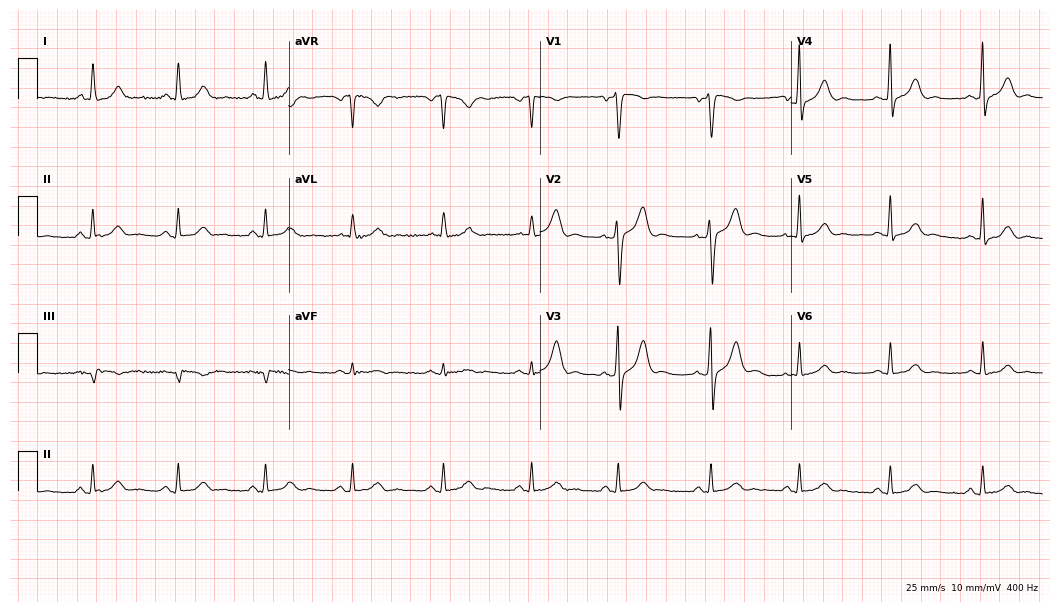
Standard 12-lead ECG recorded from a man, 64 years old (10.2-second recording at 400 Hz). None of these six findings is recorded: first-degree AV block, right bundle branch block, left bundle branch block, sinus bradycardia, atrial fibrillation, sinus tachycardia. Only these six findings were labelled.